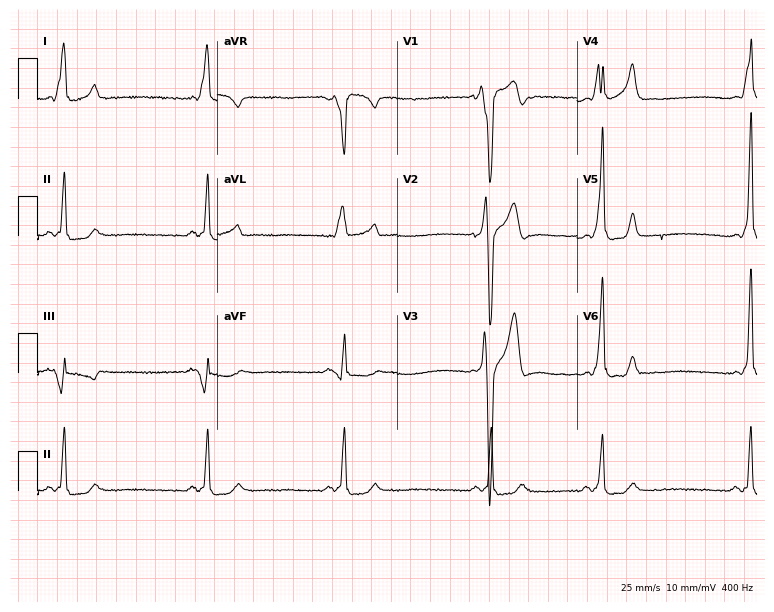
Electrocardiogram, a male, 18 years old. Of the six screened findings (first-degree AV block, right bundle branch block, left bundle branch block, sinus bradycardia, atrial fibrillation, sinus tachycardia), none is recorded. Other findings, if any, are not listed.